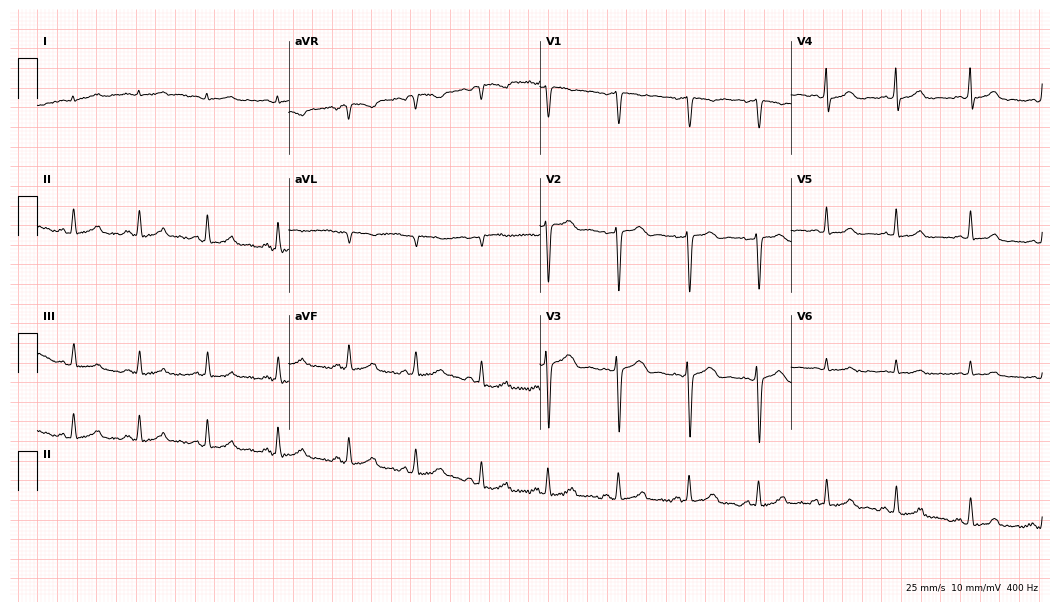
12-lead ECG from a 32-year-old female patient. No first-degree AV block, right bundle branch block, left bundle branch block, sinus bradycardia, atrial fibrillation or sinus tachycardia recorded for this tracing.